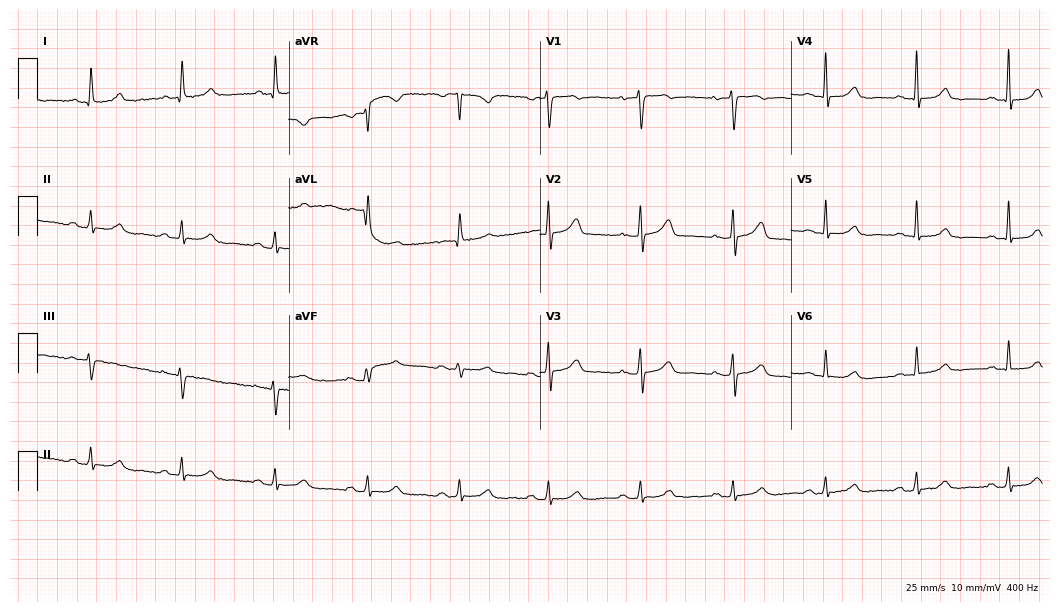
Resting 12-lead electrocardiogram (10.2-second recording at 400 Hz). Patient: a 63-year-old woman. Read as a normal ECG.